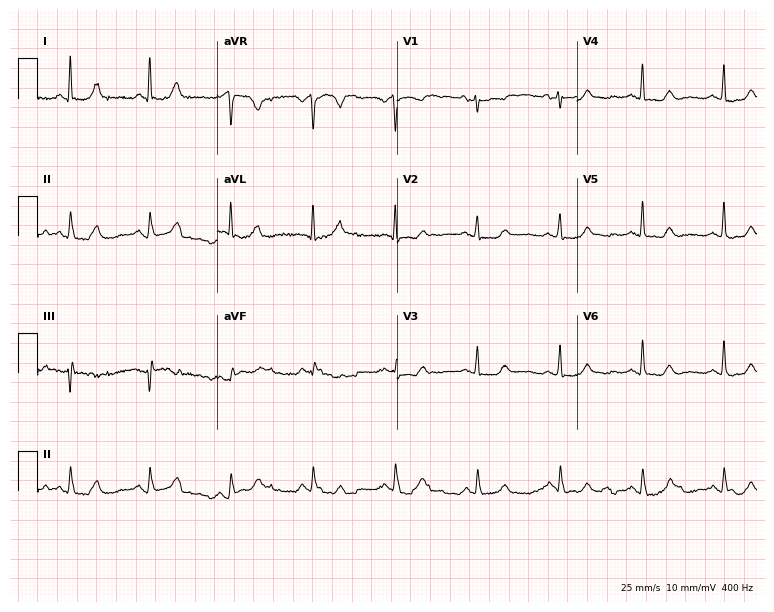
Electrocardiogram (7.3-second recording at 400 Hz), a female patient, 18 years old. Overall reading on record: normal ECG.